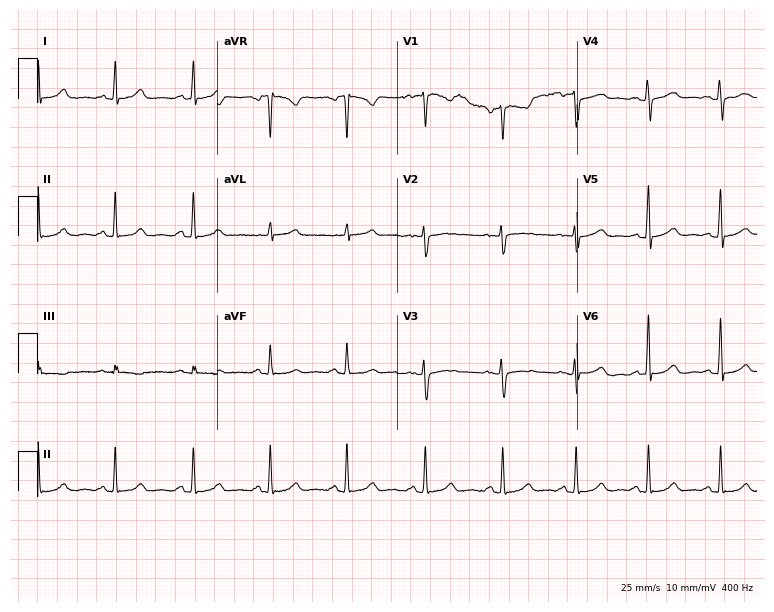
ECG (7.3-second recording at 400 Hz) — a woman, 41 years old. Screened for six findings — first-degree AV block, right bundle branch block (RBBB), left bundle branch block (LBBB), sinus bradycardia, atrial fibrillation (AF), sinus tachycardia — none is recorded.